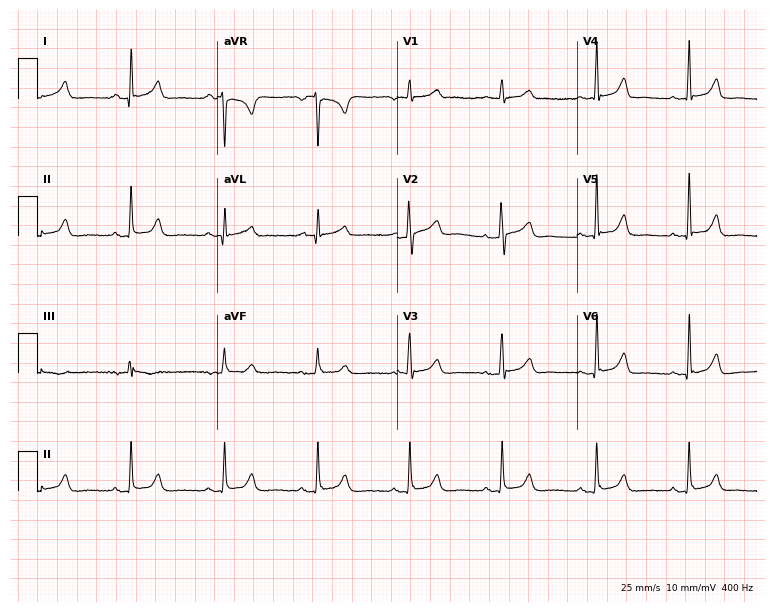
Standard 12-lead ECG recorded from a 47-year-old woman. None of these six findings is recorded: first-degree AV block, right bundle branch block, left bundle branch block, sinus bradycardia, atrial fibrillation, sinus tachycardia. Other findings, if any, are not listed.